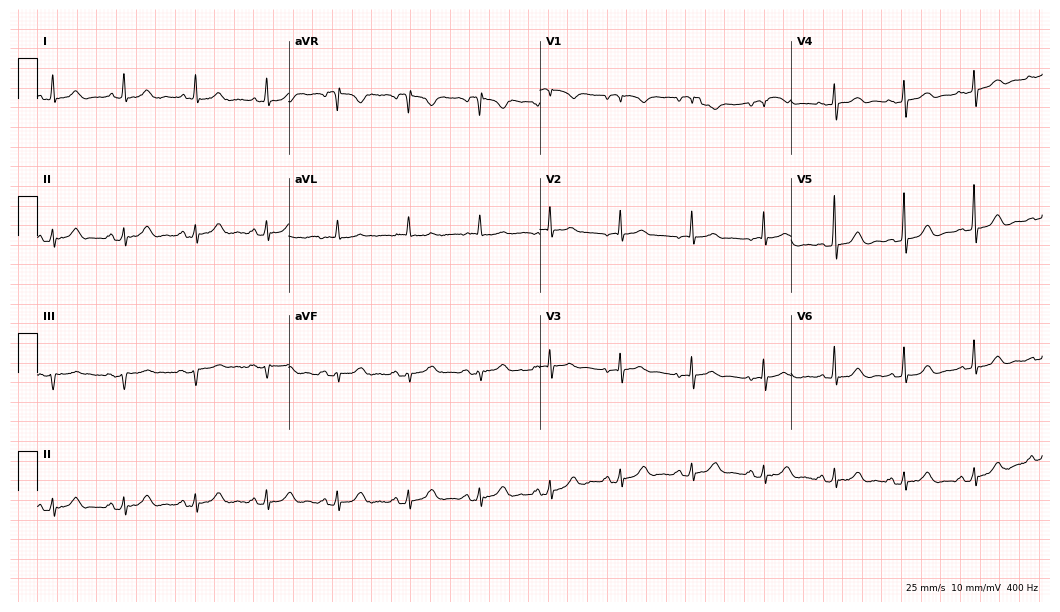
Resting 12-lead electrocardiogram. Patient: an 81-year-old woman. Read as a normal ECG.